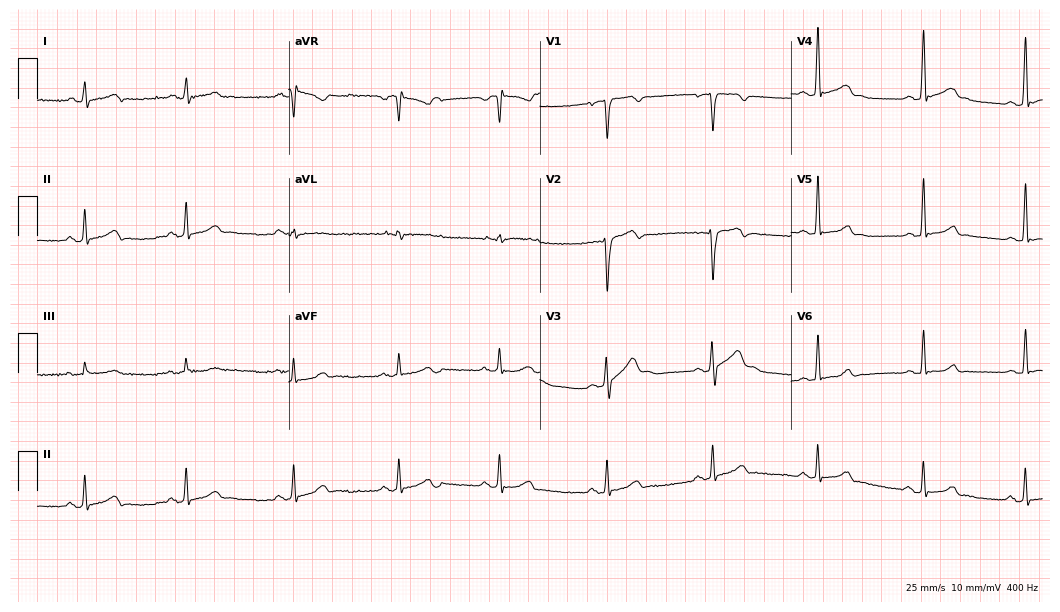
Standard 12-lead ECG recorded from a male patient, 28 years old (10.2-second recording at 400 Hz). None of these six findings is recorded: first-degree AV block, right bundle branch block (RBBB), left bundle branch block (LBBB), sinus bradycardia, atrial fibrillation (AF), sinus tachycardia.